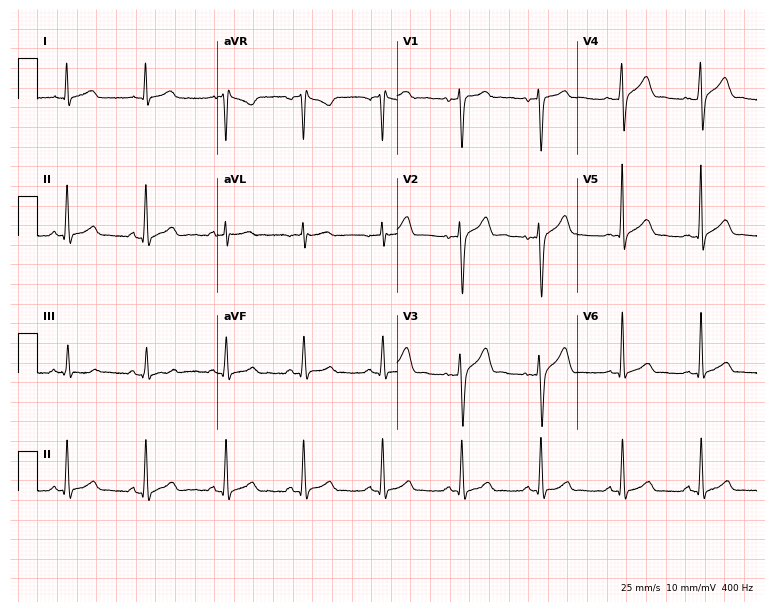
12-lead ECG from a male, 18 years old. Screened for six findings — first-degree AV block, right bundle branch block, left bundle branch block, sinus bradycardia, atrial fibrillation, sinus tachycardia — none is recorded.